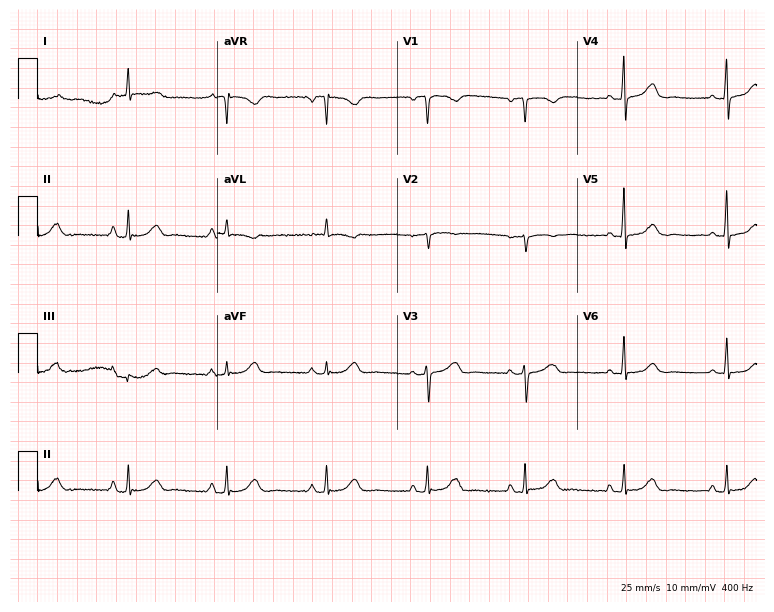
Resting 12-lead electrocardiogram. Patient: a 56-year-old female. Read as a normal ECG.